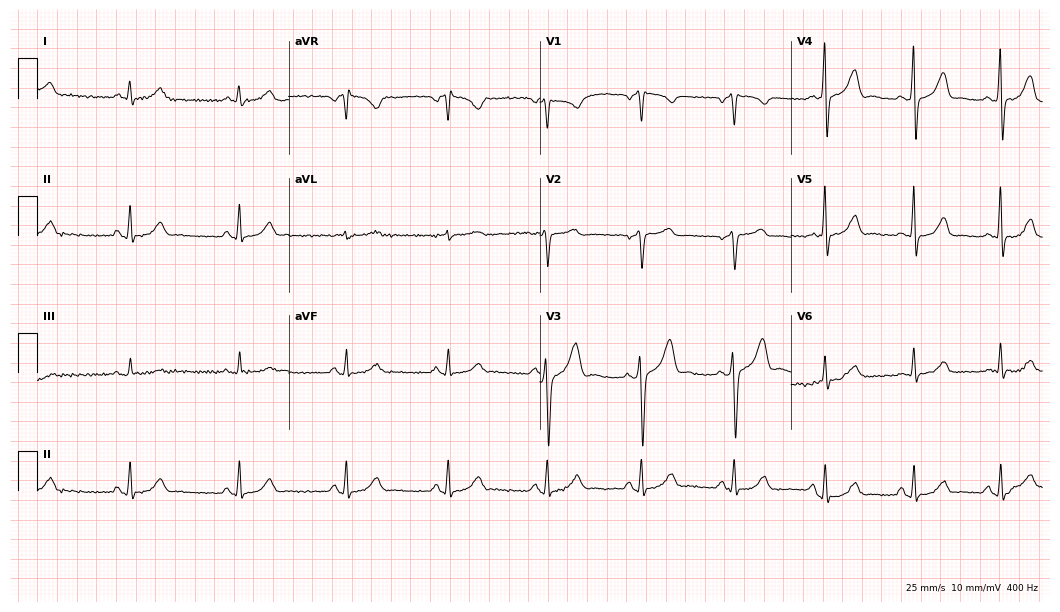
12-lead ECG from a 65-year-old male patient. Recorded interpretation: within normal limits.